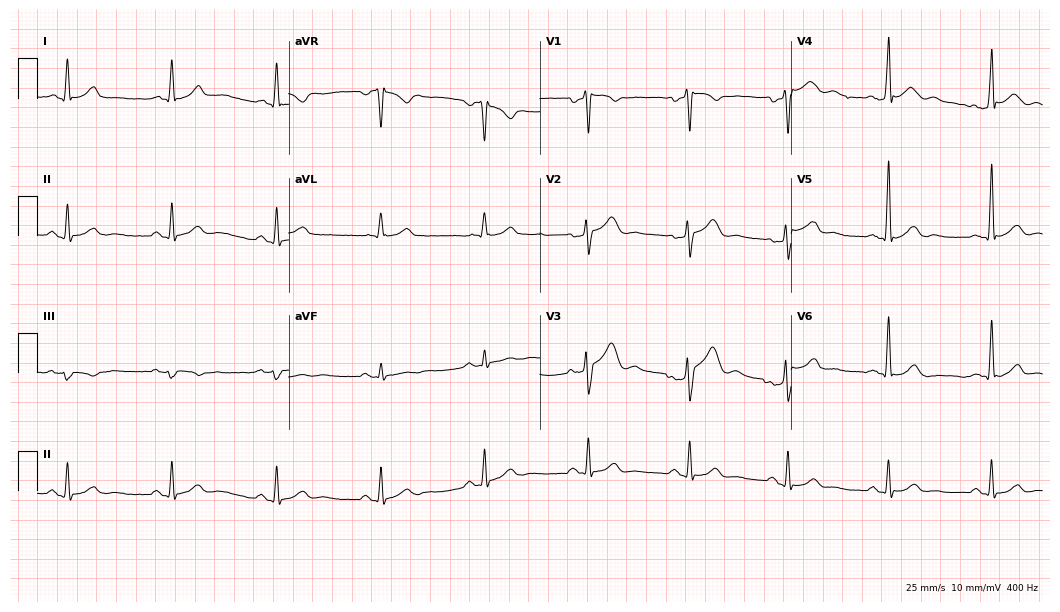
Standard 12-lead ECG recorded from a male, 47 years old. Read as a normal ECG.